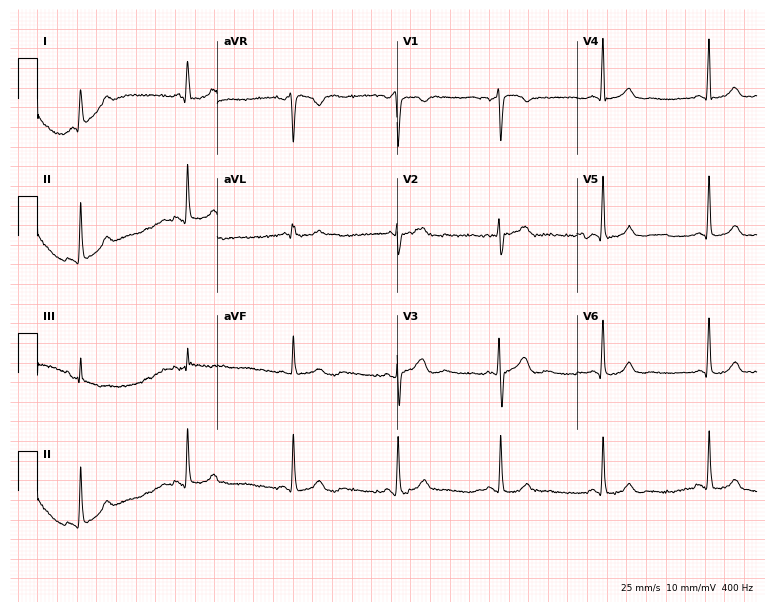
Electrocardiogram, a 35-year-old female patient. Overall reading on record: normal ECG.